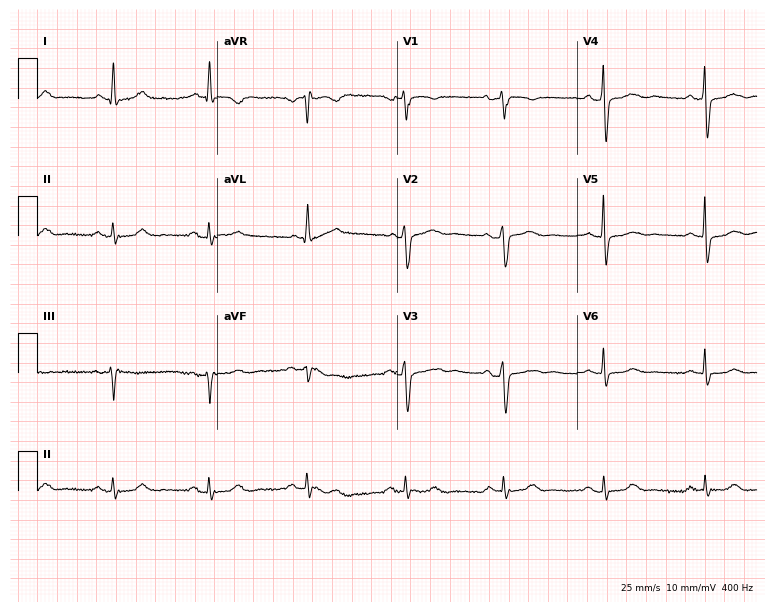
ECG (7.3-second recording at 400 Hz) — a 72-year-old woman. Screened for six findings — first-degree AV block, right bundle branch block, left bundle branch block, sinus bradycardia, atrial fibrillation, sinus tachycardia — none is recorded.